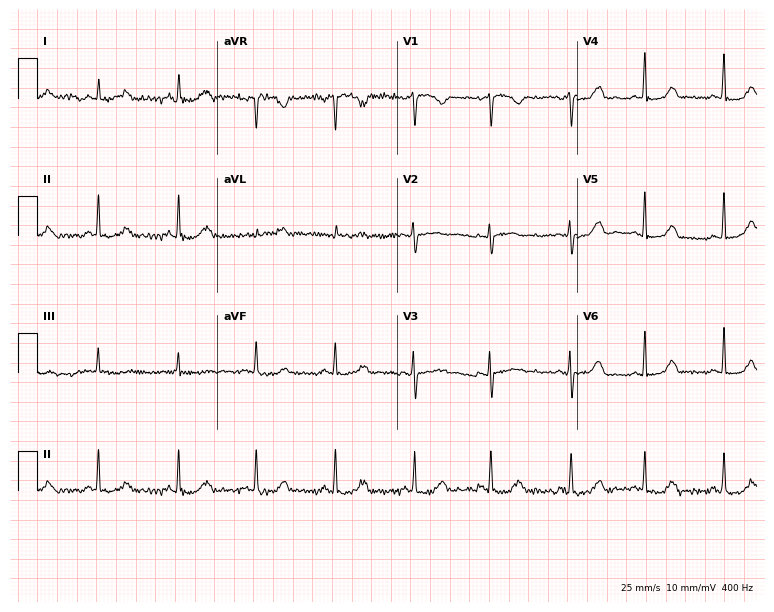
12-lead ECG from a female, 22 years old. Recorded interpretation: within normal limits.